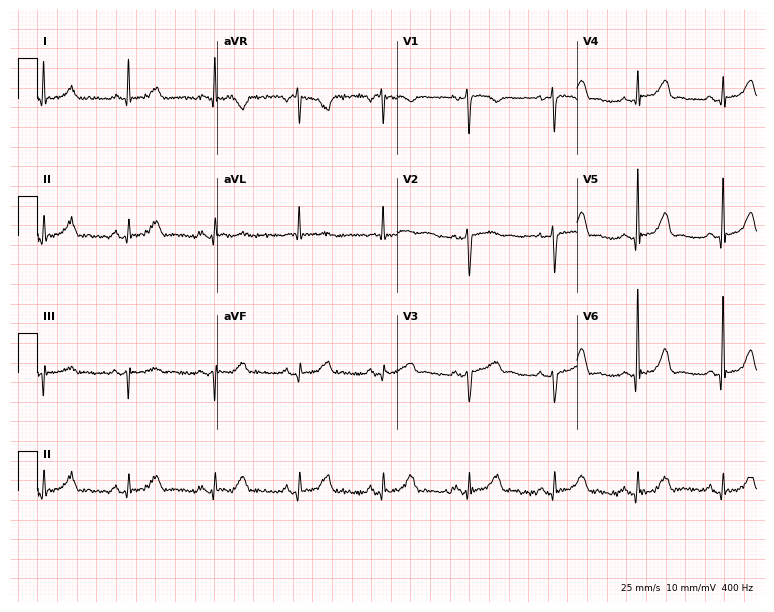
ECG (7.3-second recording at 400 Hz) — a female, 72 years old. Labelled as a normal ECG.